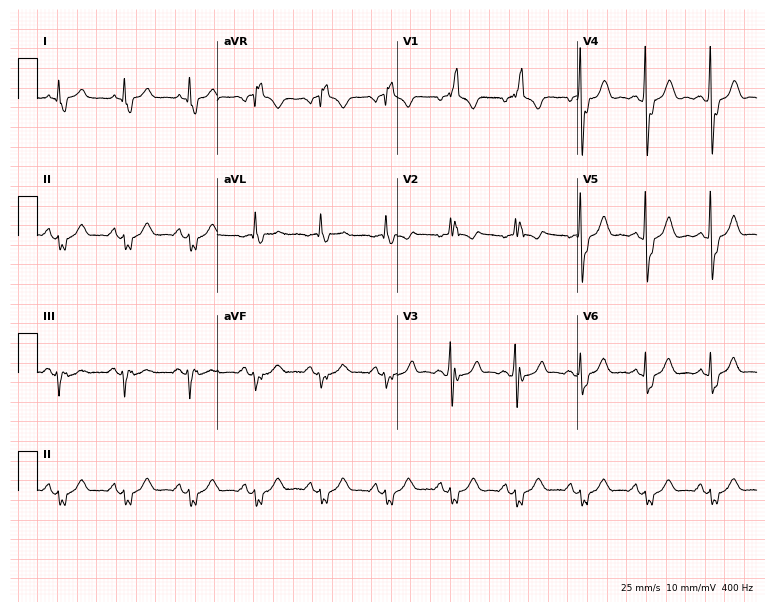
Electrocardiogram (7.3-second recording at 400 Hz), an 82-year-old man. Interpretation includes right bundle branch block.